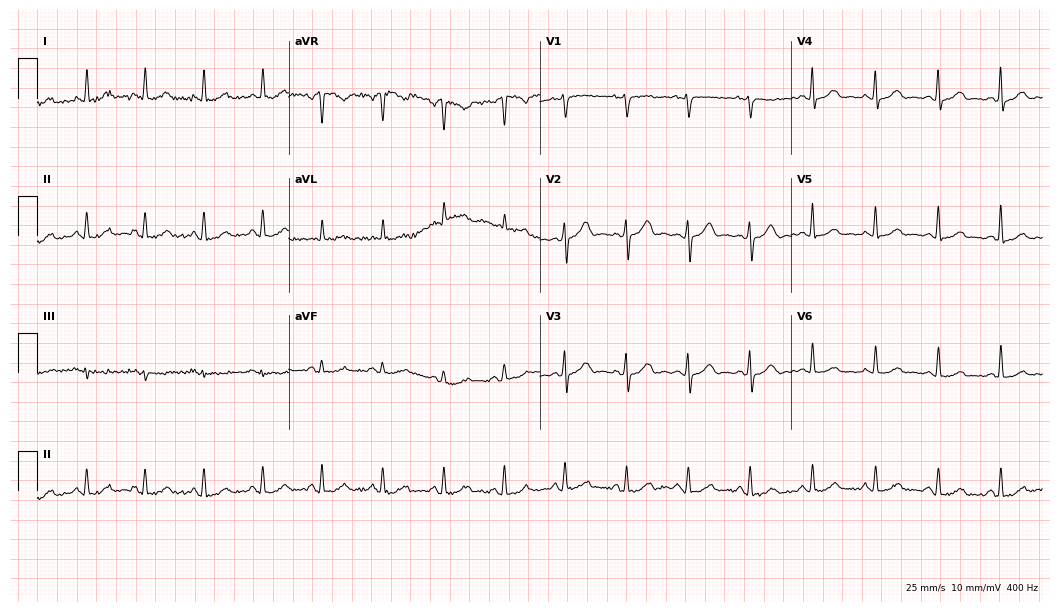
12-lead ECG (10.2-second recording at 400 Hz) from a 73-year-old female. Screened for six findings — first-degree AV block, right bundle branch block, left bundle branch block, sinus bradycardia, atrial fibrillation, sinus tachycardia — none is recorded. Other findings, if any, are not listed.